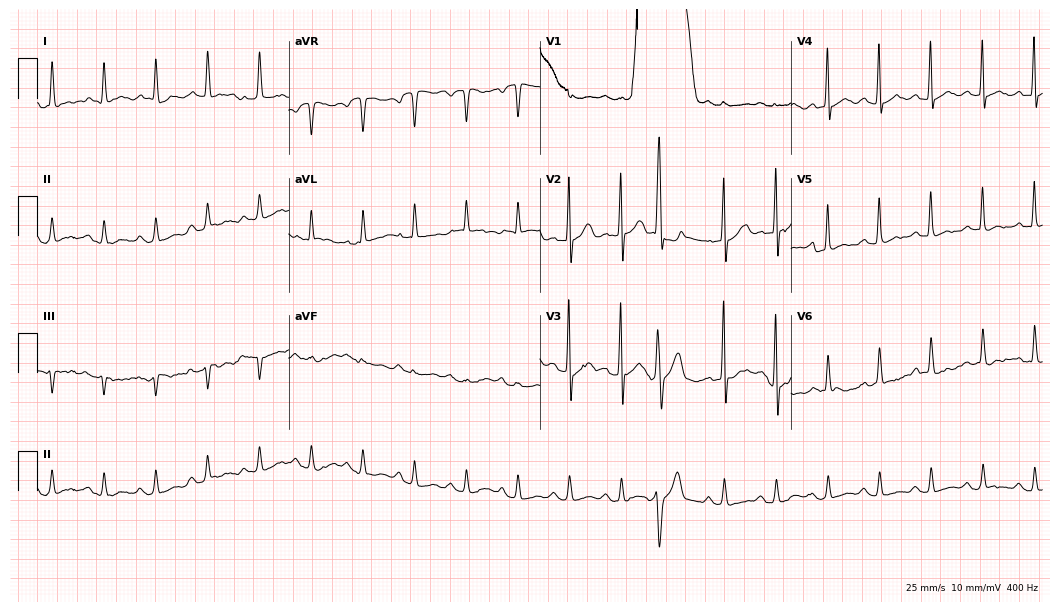
12-lead ECG from a male patient, 62 years old (10.2-second recording at 400 Hz). No first-degree AV block, right bundle branch block, left bundle branch block, sinus bradycardia, atrial fibrillation or sinus tachycardia recorded for this tracing. Other findings, if any, are not listed.